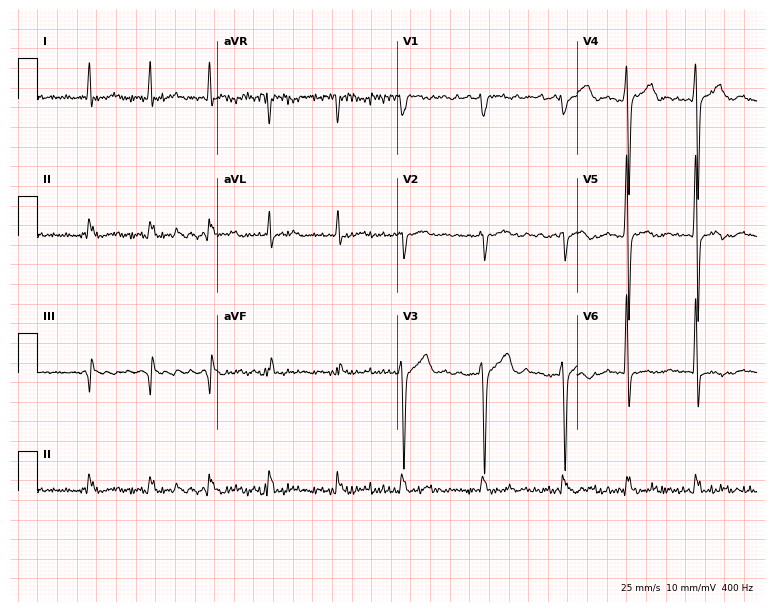
12-lead ECG from a 70-year-old male patient. Findings include atrial fibrillation.